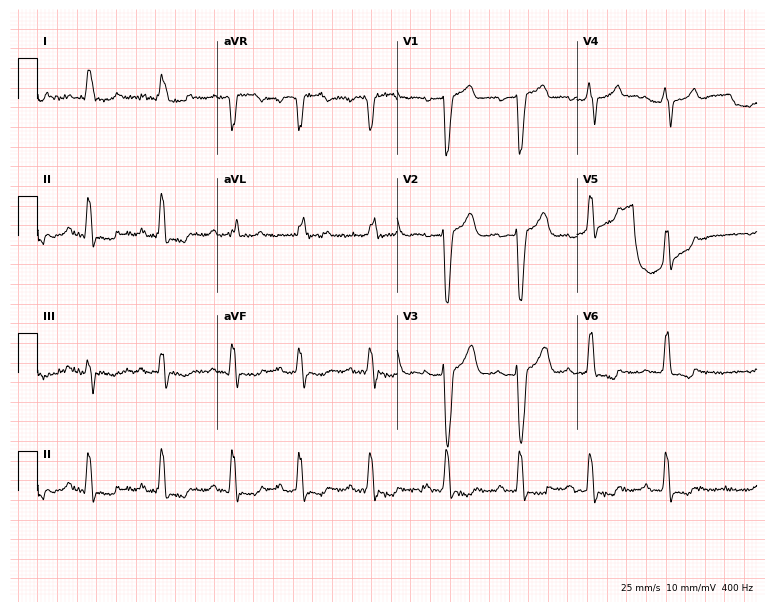
ECG — a female, 81 years old. Findings include left bundle branch block.